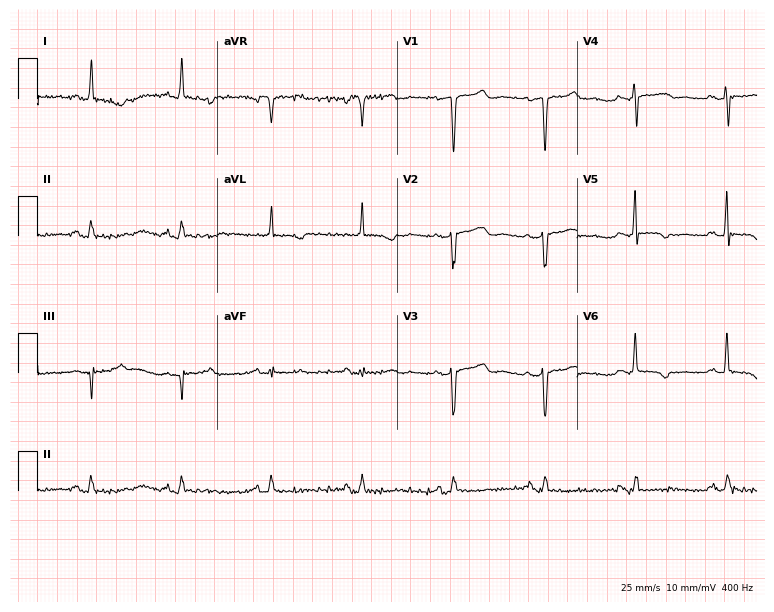
Electrocardiogram, a female, 77 years old. Overall reading on record: normal ECG.